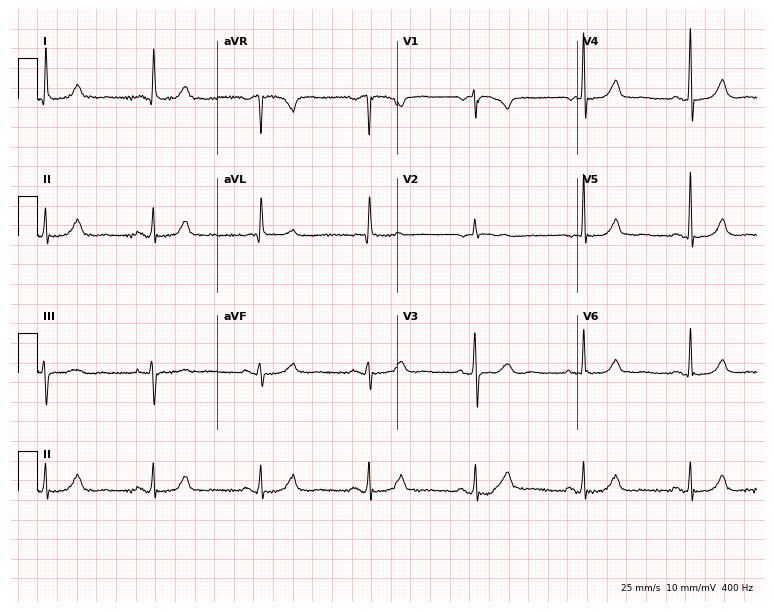
12-lead ECG from a female, 73 years old. Labelled as a normal ECG.